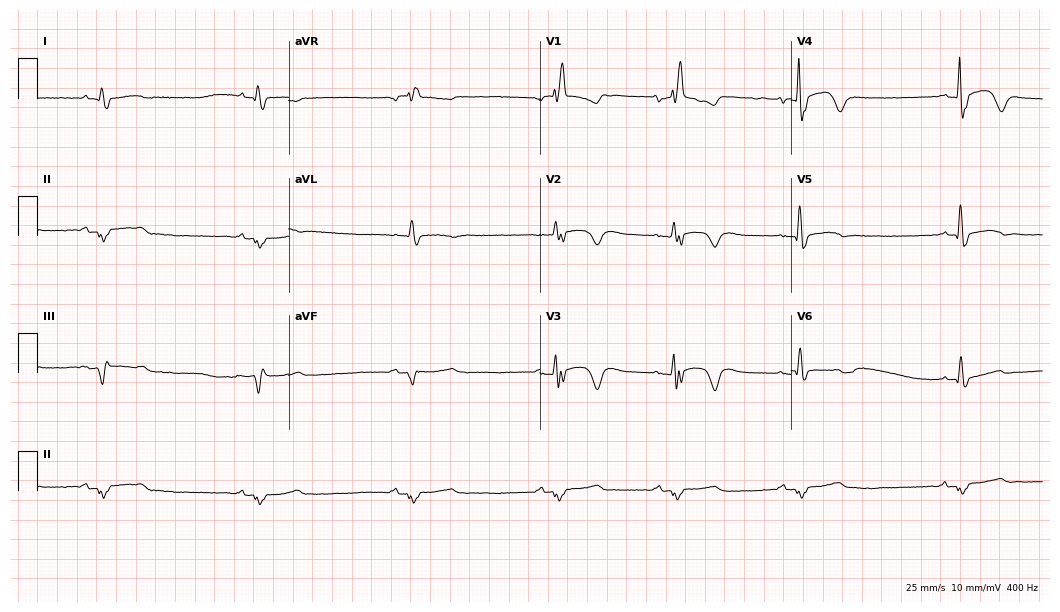
12-lead ECG from a 66-year-old female. Shows right bundle branch block, sinus bradycardia (a sinus rate of 50 beats per minute or less).